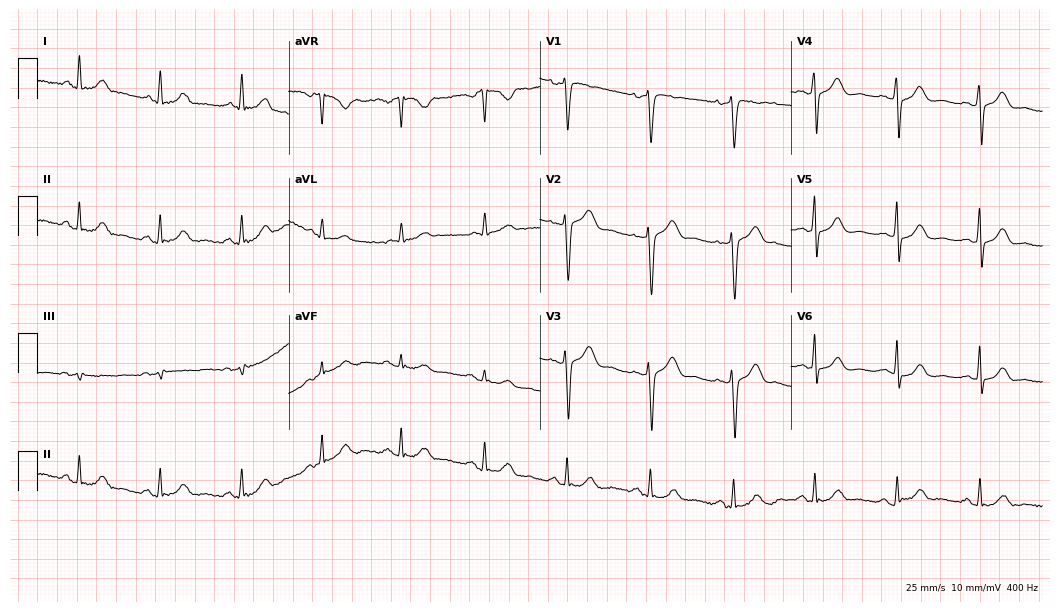
Standard 12-lead ECG recorded from a 35-year-old female patient. Read as a normal ECG.